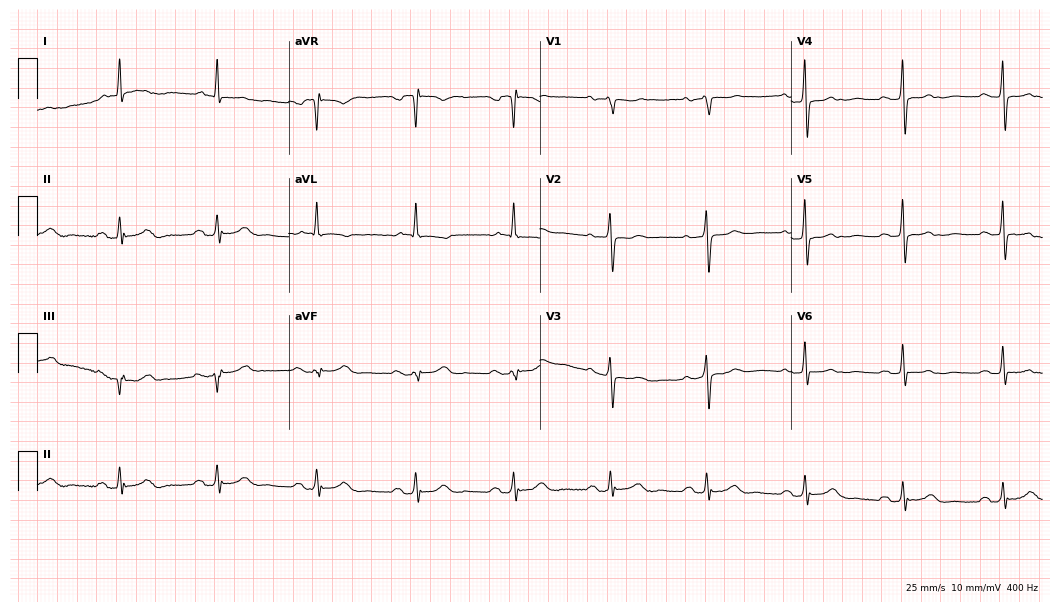
ECG — a 74-year-old female. Labelled as a normal ECG.